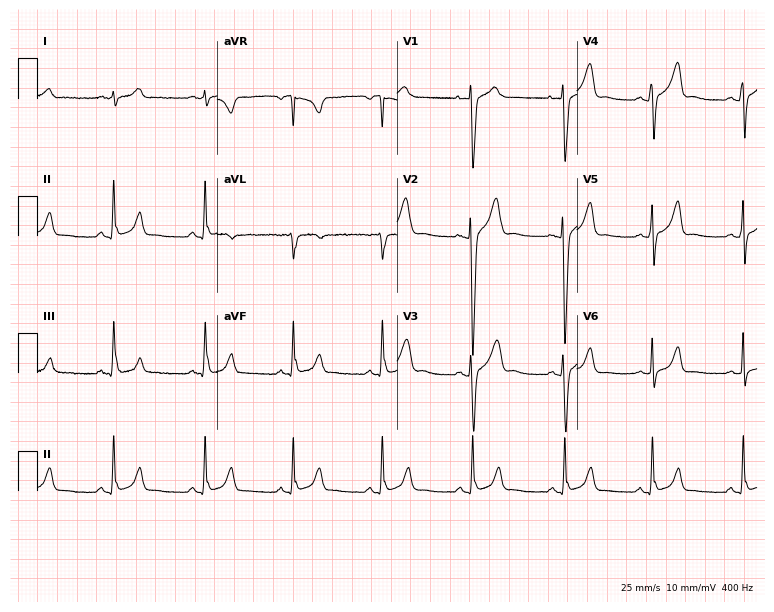
Resting 12-lead electrocardiogram (7.3-second recording at 400 Hz). Patient: a 22-year-old male. Read as a normal ECG.